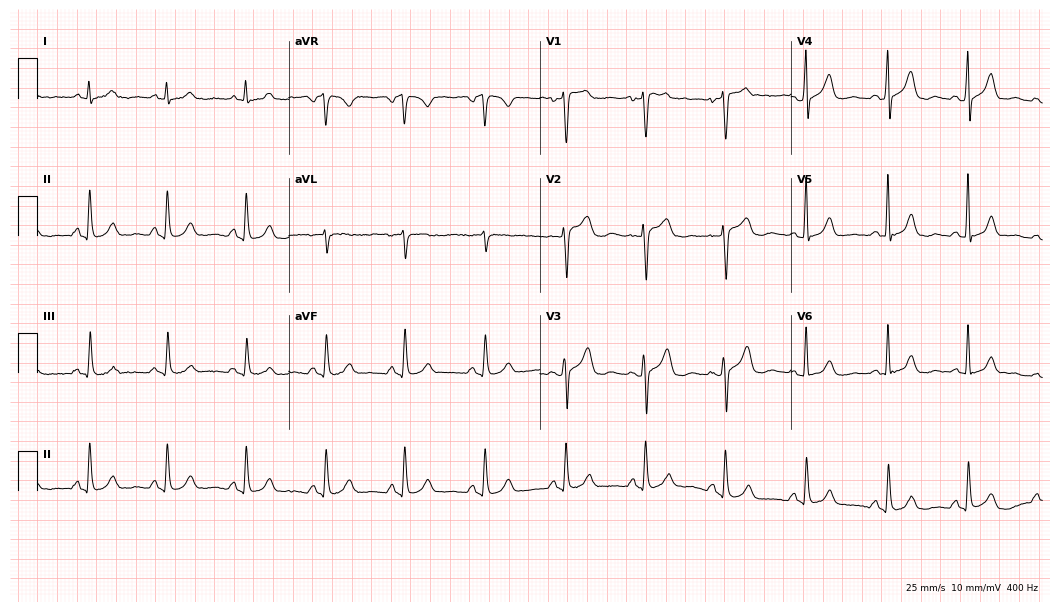
12-lead ECG from a 52-year-old female. Recorded interpretation: within normal limits.